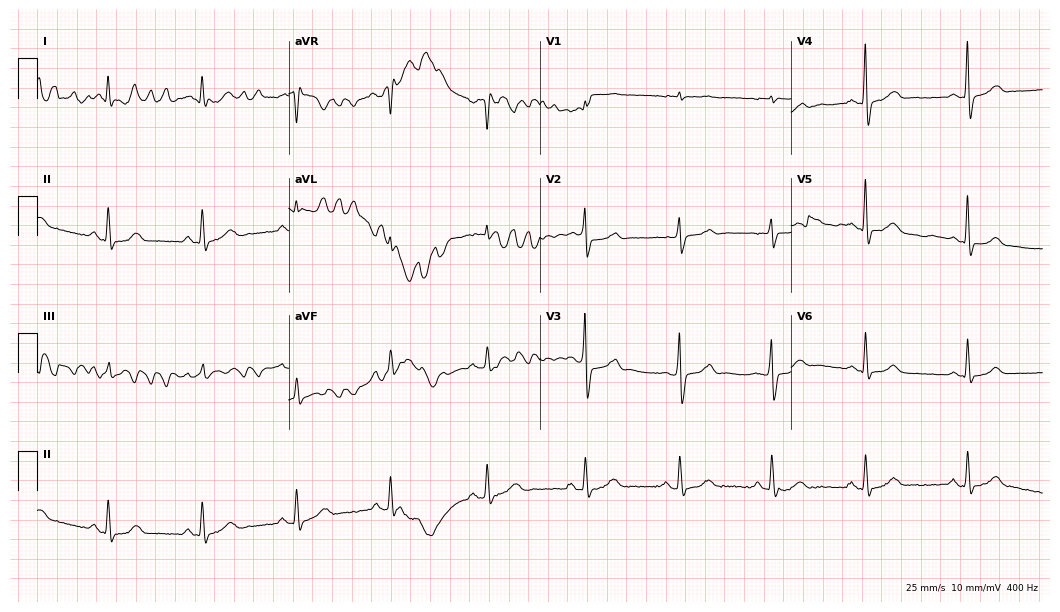
Resting 12-lead electrocardiogram (10.2-second recording at 400 Hz). Patient: a 52-year-old male. None of these six findings is recorded: first-degree AV block, right bundle branch block (RBBB), left bundle branch block (LBBB), sinus bradycardia, atrial fibrillation (AF), sinus tachycardia. Only these six findings were labelled.